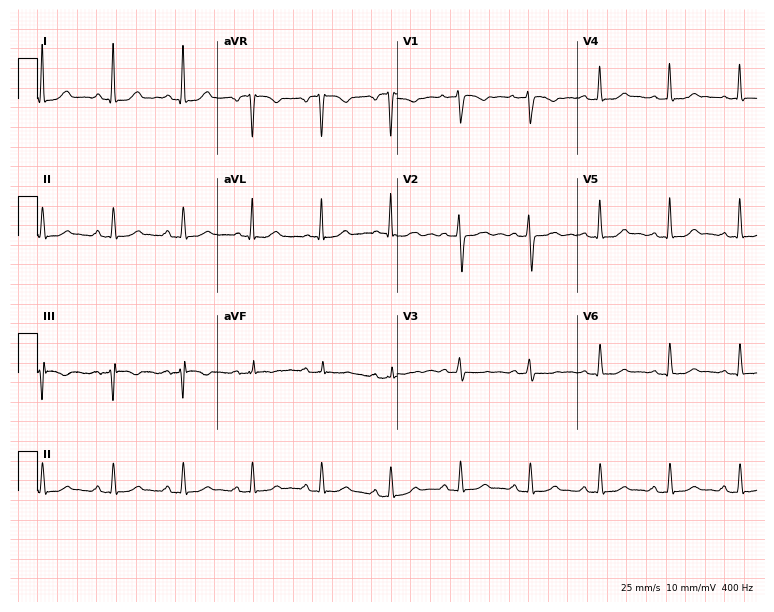
ECG — a 37-year-old female patient. Labelled as a normal ECG.